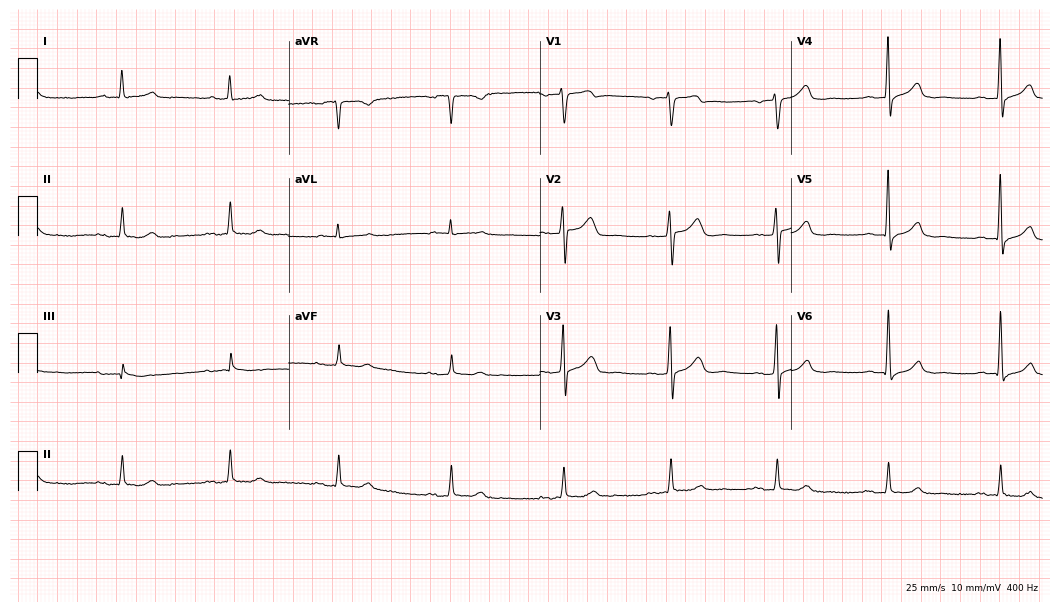
12-lead ECG (10.2-second recording at 400 Hz) from a 70-year-old male patient. Labelled as a normal ECG.